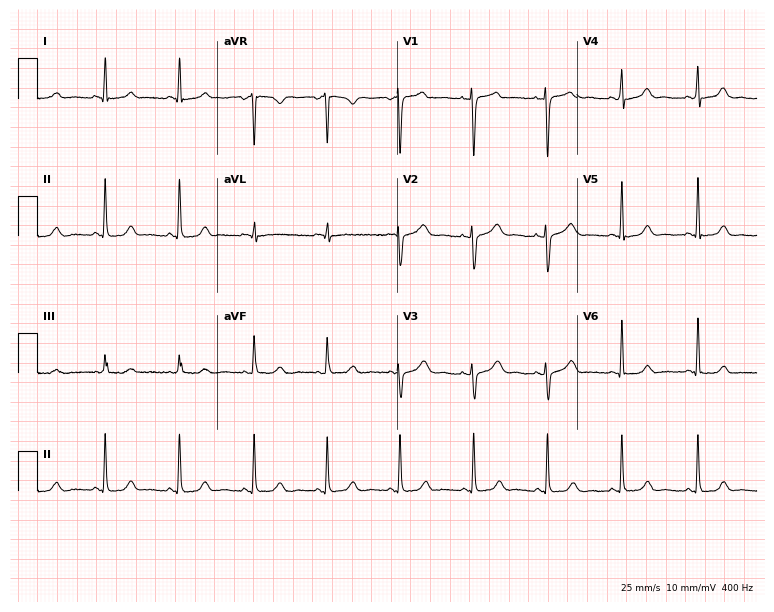
Resting 12-lead electrocardiogram. Patient: a 41-year-old woman. Read as a normal ECG.